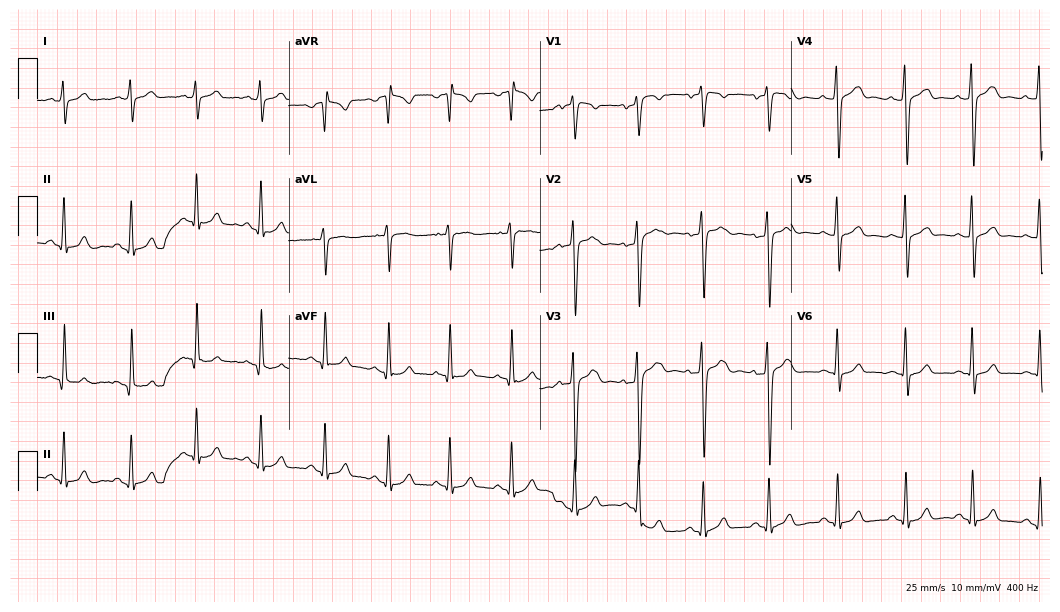
ECG (10.2-second recording at 400 Hz) — a male, 35 years old. Labelled as a normal ECG.